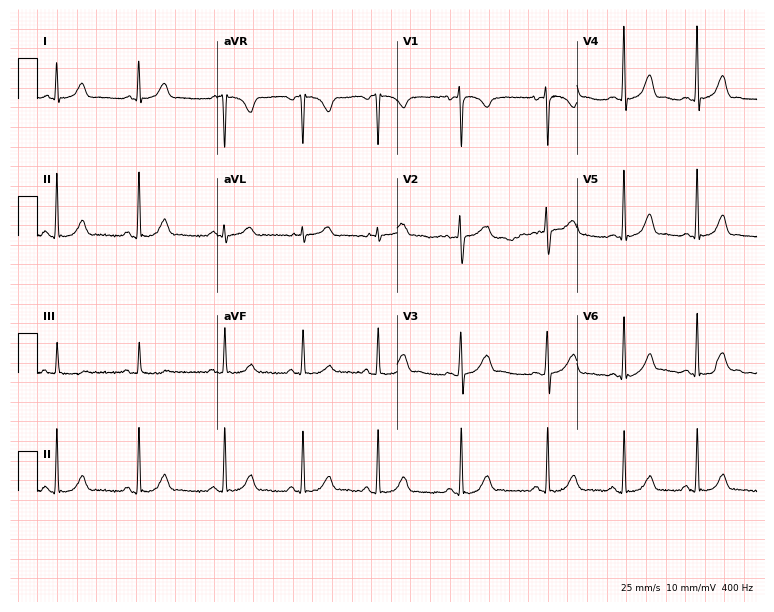
ECG — a female, 20 years old. Screened for six findings — first-degree AV block, right bundle branch block, left bundle branch block, sinus bradycardia, atrial fibrillation, sinus tachycardia — none is recorded.